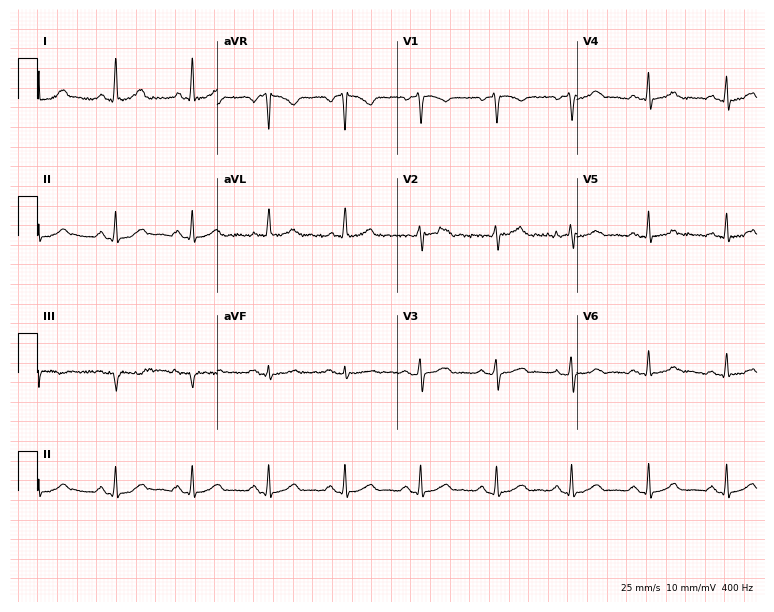
12-lead ECG from a 52-year-old woman. Recorded interpretation: within normal limits.